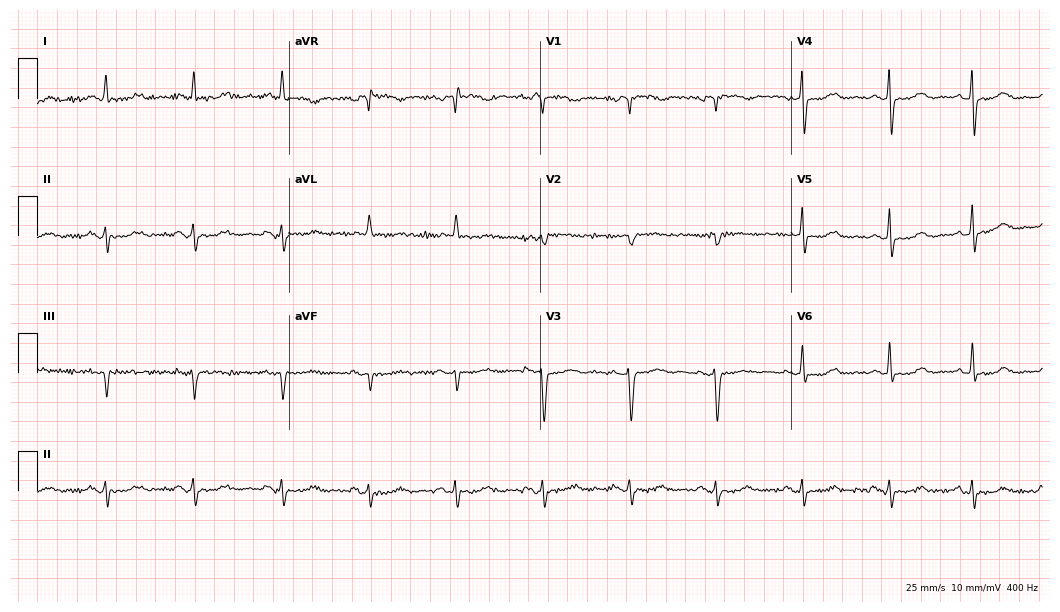
Electrocardiogram (10.2-second recording at 400 Hz), a 79-year-old female. Of the six screened findings (first-degree AV block, right bundle branch block (RBBB), left bundle branch block (LBBB), sinus bradycardia, atrial fibrillation (AF), sinus tachycardia), none is recorded. Only these six findings were labelled.